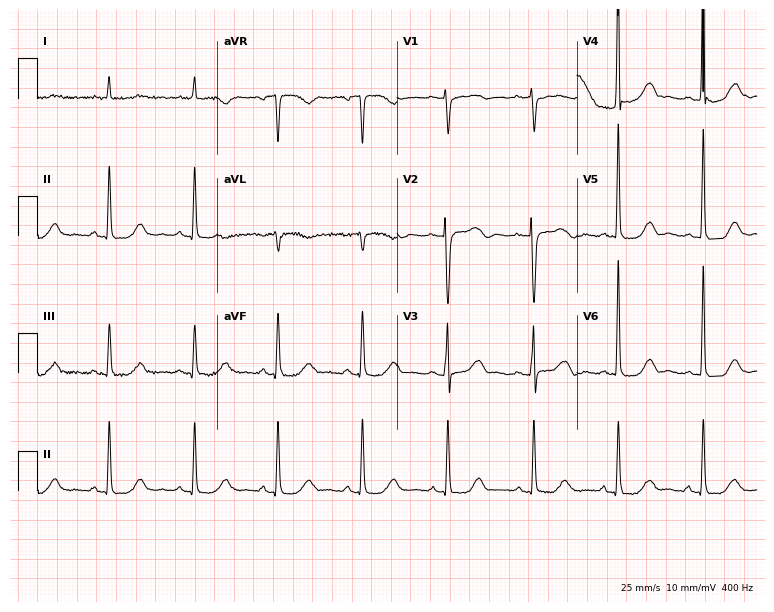
ECG (7.3-second recording at 400 Hz) — a woman, 78 years old. Labelled as a normal ECG.